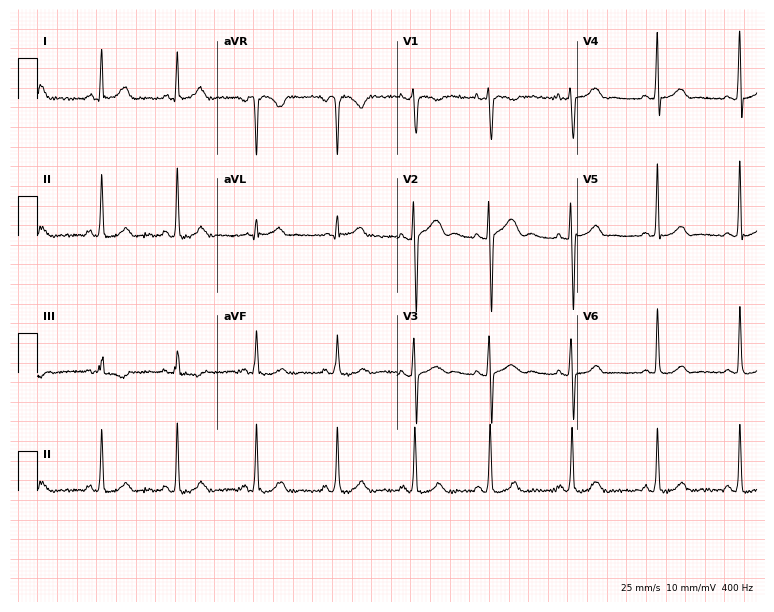
ECG — a female, 23 years old. Screened for six findings — first-degree AV block, right bundle branch block, left bundle branch block, sinus bradycardia, atrial fibrillation, sinus tachycardia — none is recorded.